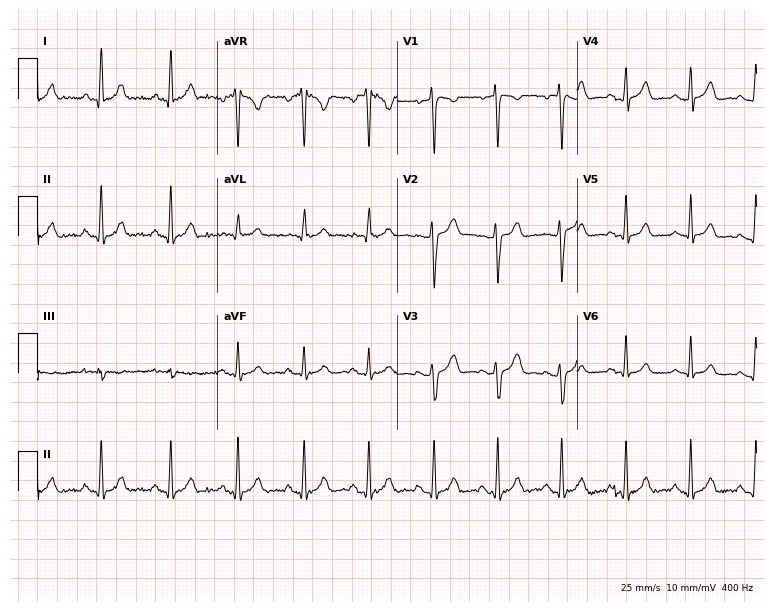
Electrocardiogram, a 22-year-old female. Overall reading on record: normal ECG.